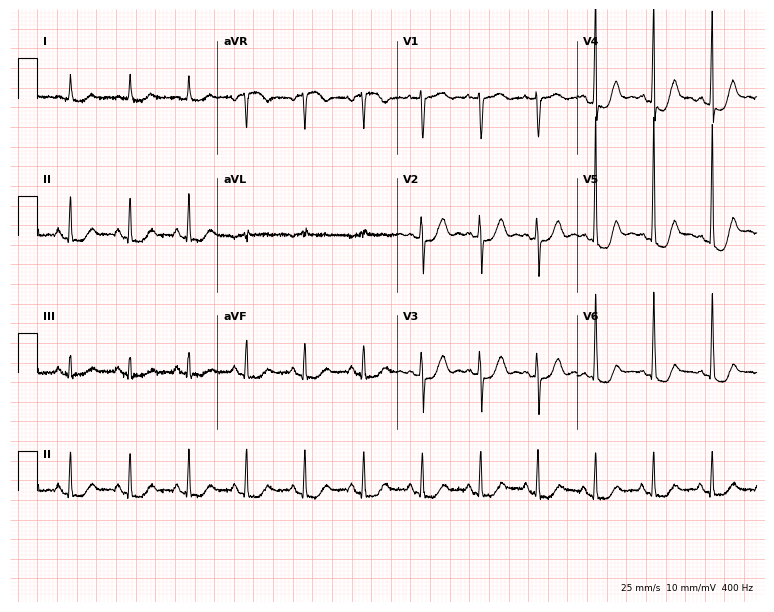
12-lead ECG from a female, 70 years old. Findings include sinus tachycardia (a sinus rate of 100 beats per minute or more).